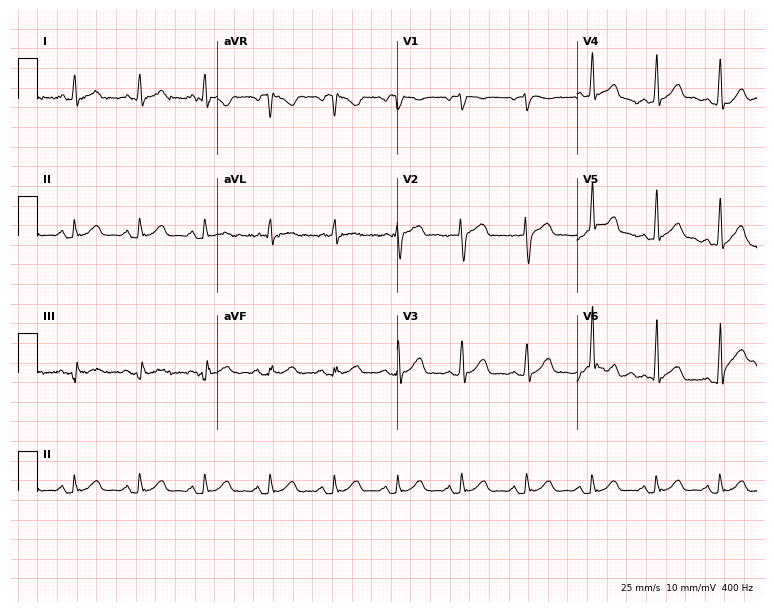
Electrocardiogram, a man, 39 years old. Overall reading on record: normal ECG.